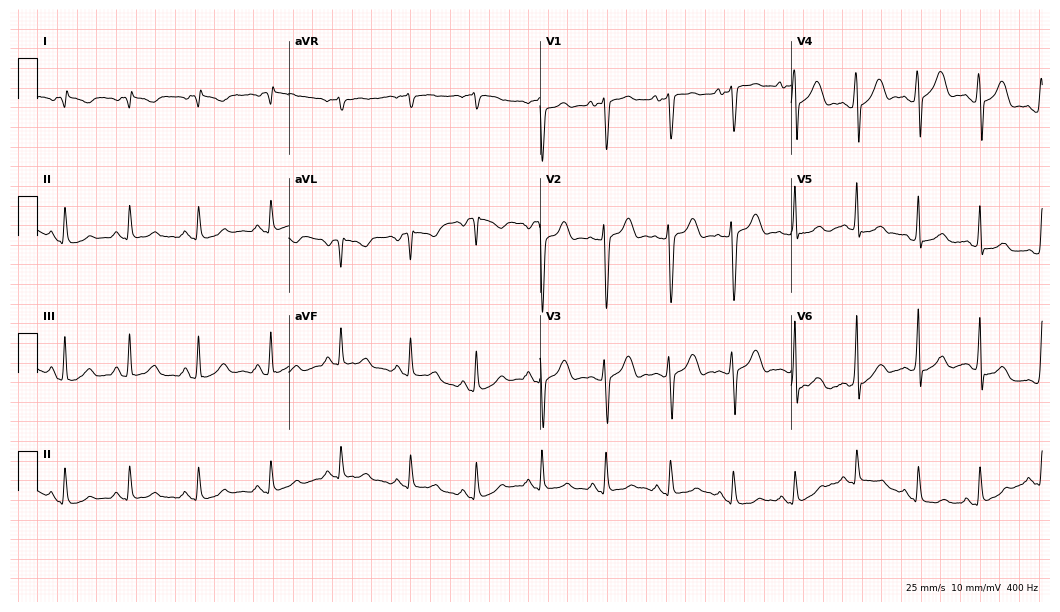
12-lead ECG from a 24-year-old male patient (10.2-second recording at 400 Hz). No first-degree AV block, right bundle branch block, left bundle branch block, sinus bradycardia, atrial fibrillation or sinus tachycardia recorded for this tracing. Only these six findings were labelled.